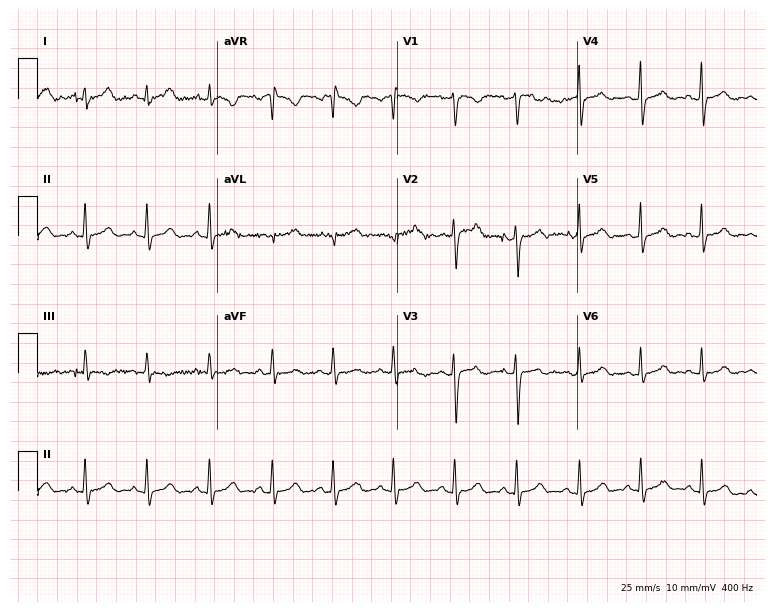
12-lead ECG from a 31-year-old female (7.3-second recording at 400 Hz). Recorded interpretation: within normal limits.